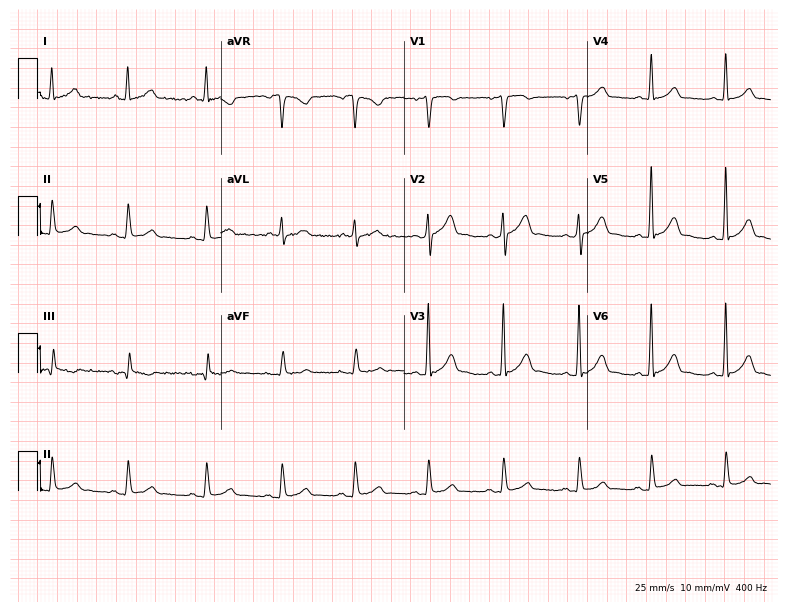
ECG (7.5-second recording at 400 Hz) — a 47-year-old male patient. Labelled as a normal ECG.